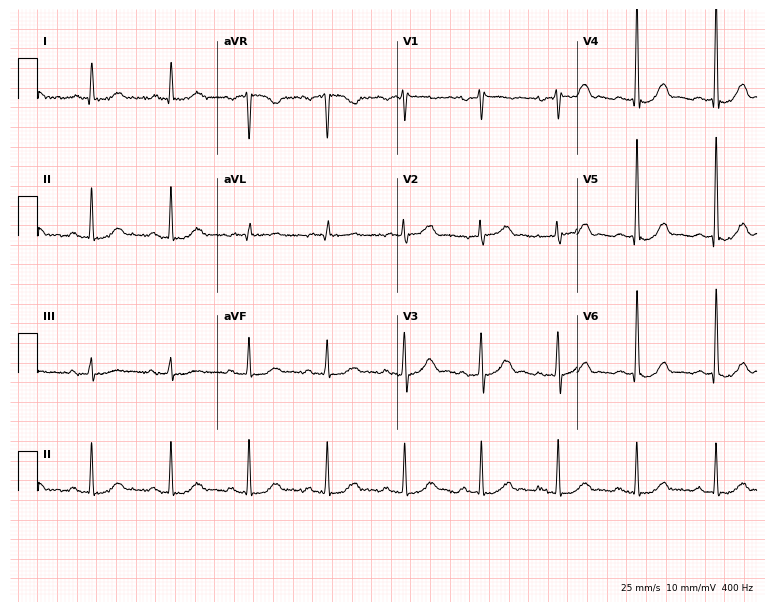
12-lead ECG from a man, 79 years old (7.3-second recording at 400 Hz). Recorded interpretation: within normal limits.